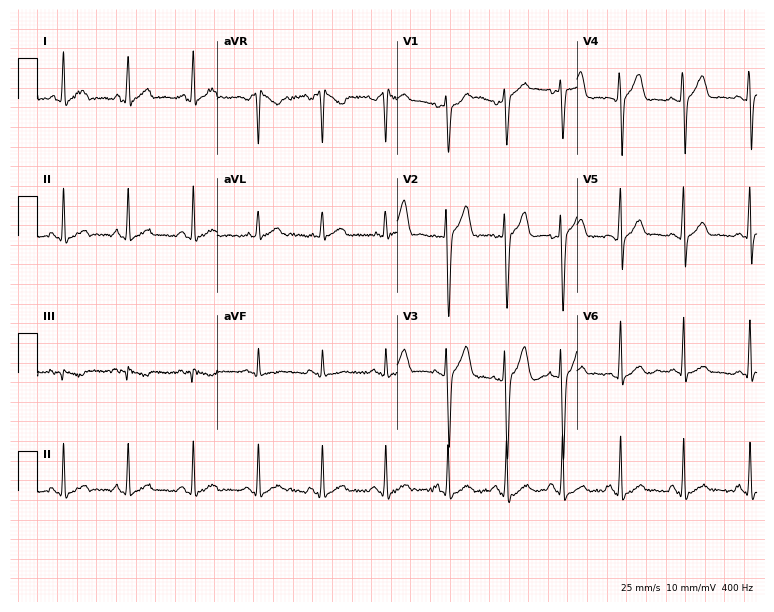
Resting 12-lead electrocardiogram. Patient: a 19-year-old man. Read as a normal ECG.